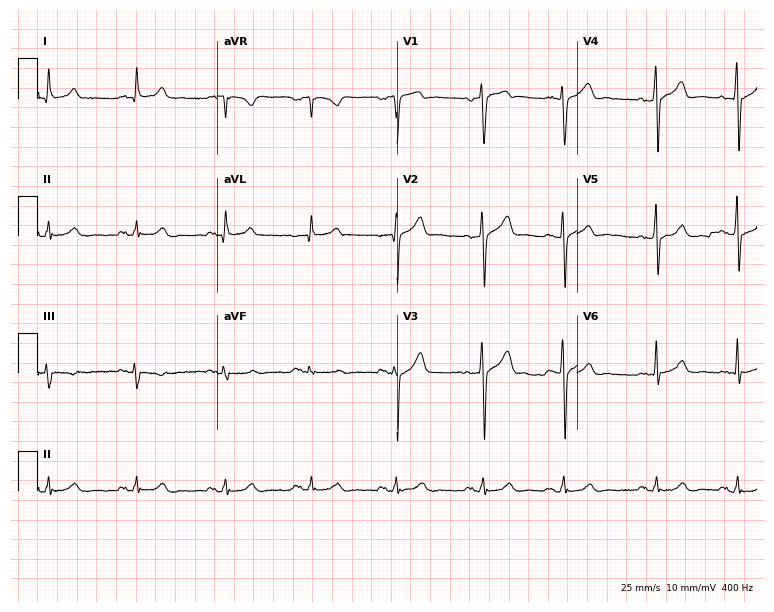
Standard 12-lead ECG recorded from a male, 65 years old. Read as a normal ECG.